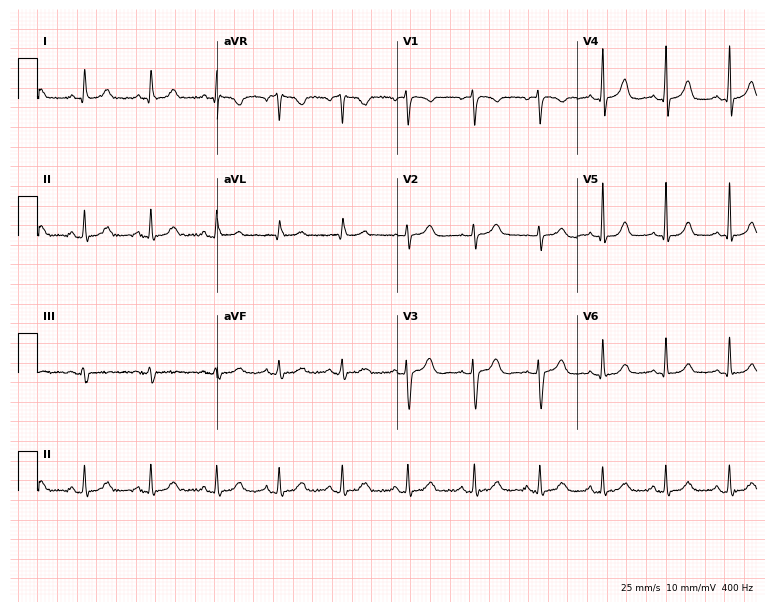
Standard 12-lead ECG recorded from a female, 29 years old. Read as a normal ECG.